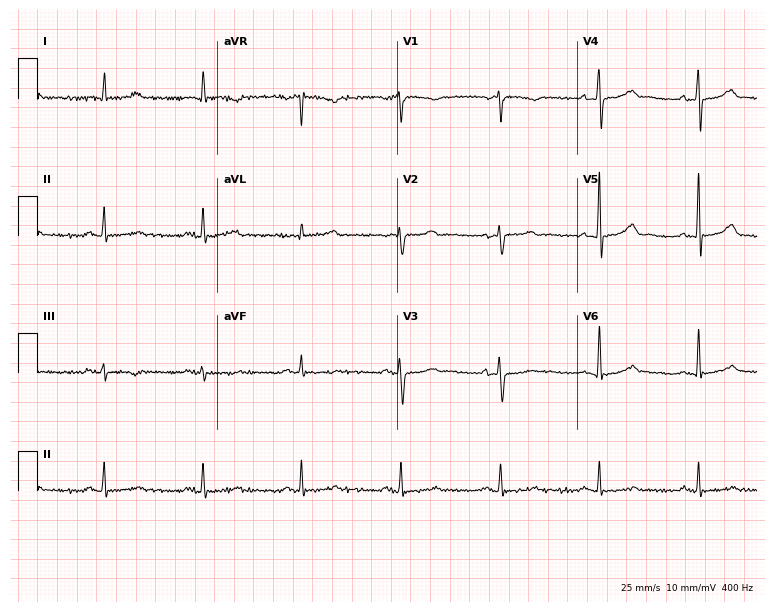
ECG (7.3-second recording at 400 Hz) — a male patient, 65 years old. Labelled as a normal ECG.